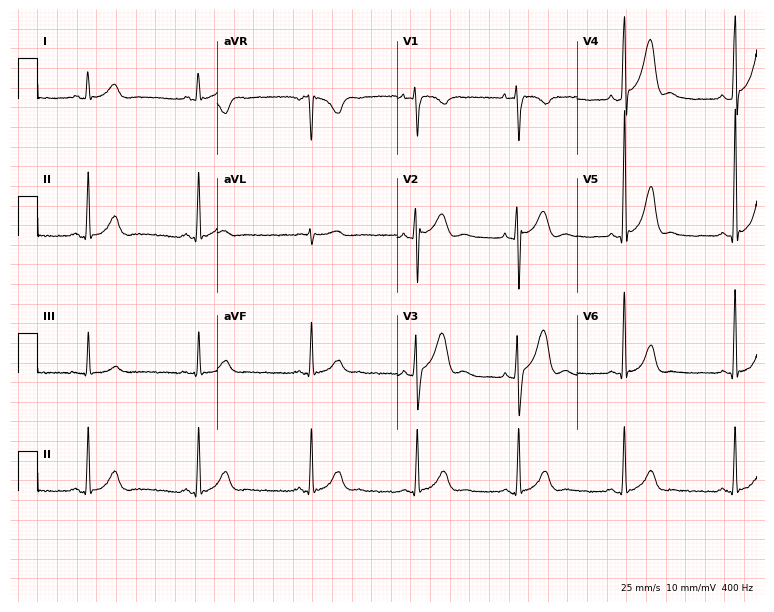
12-lead ECG (7.3-second recording at 400 Hz) from a male patient, 30 years old. Screened for six findings — first-degree AV block, right bundle branch block, left bundle branch block, sinus bradycardia, atrial fibrillation, sinus tachycardia — none is recorded.